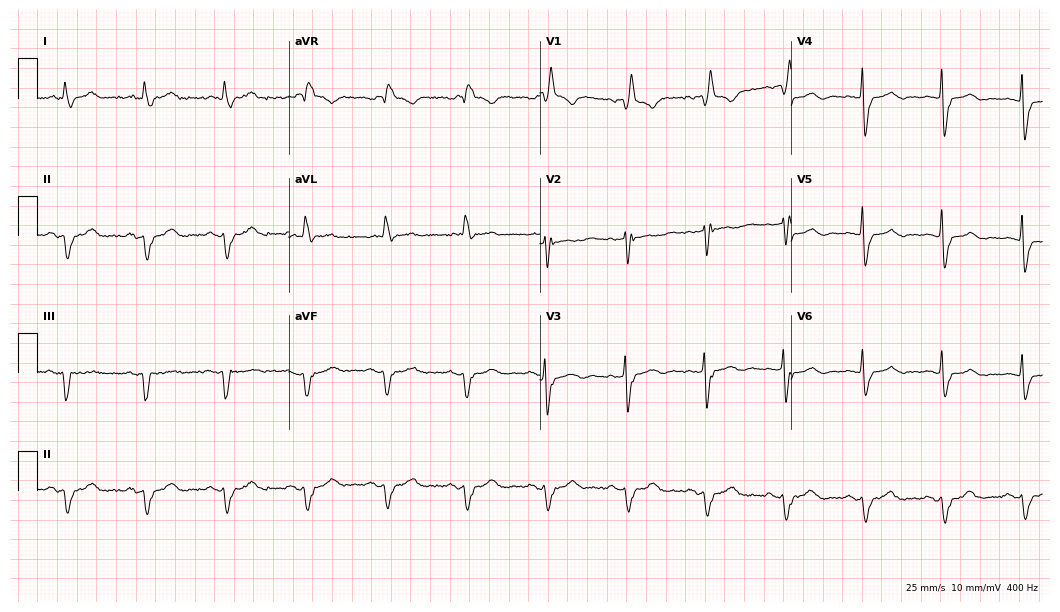
Standard 12-lead ECG recorded from a female, 81 years old (10.2-second recording at 400 Hz). The tracing shows right bundle branch block.